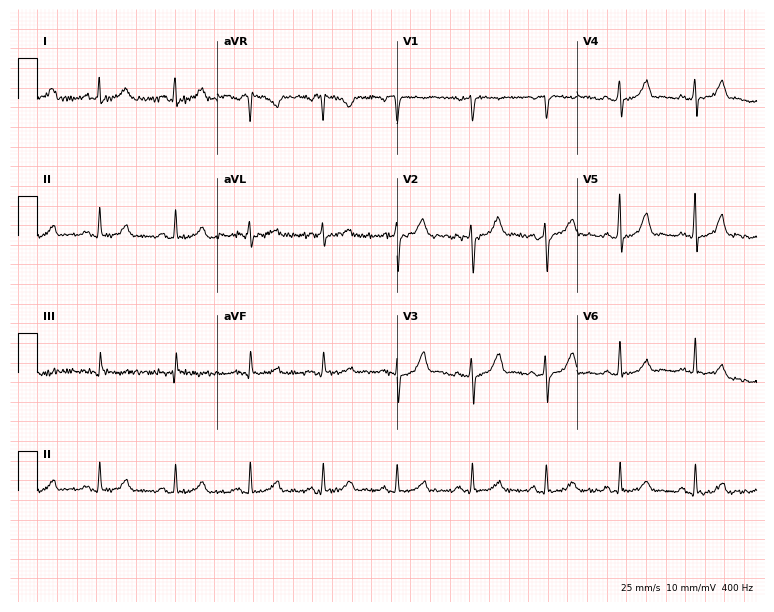
Resting 12-lead electrocardiogram (7.3-second recording at 400 Hz). Patient: a woman, 41 years old. Read as a normal ECG.